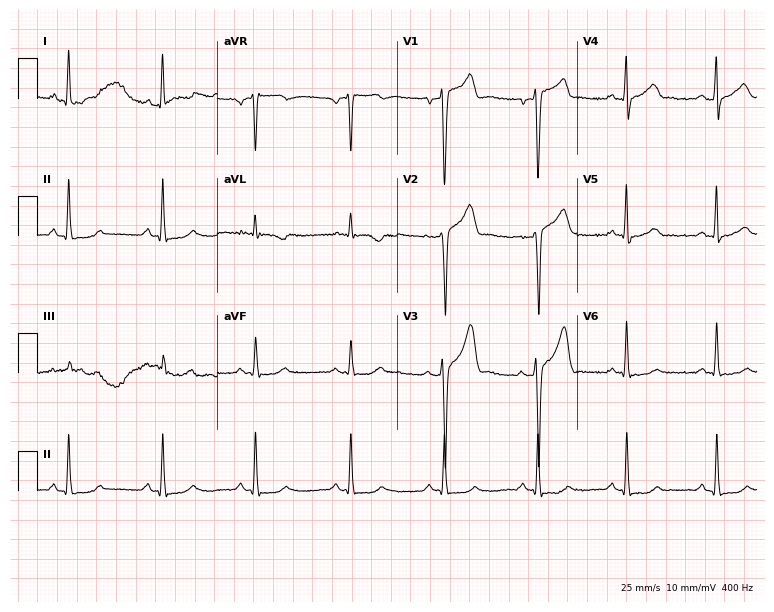
12-lead ECG from a man, 42 years old (7.3-second recording at 400 Hz). No first-degree AV block, right bundle branch block, left bundle branch block, sinus bradycardia, atrial fibrillation or sinus tachycardia recorded for this tracing. Findings outside these six are not listed.